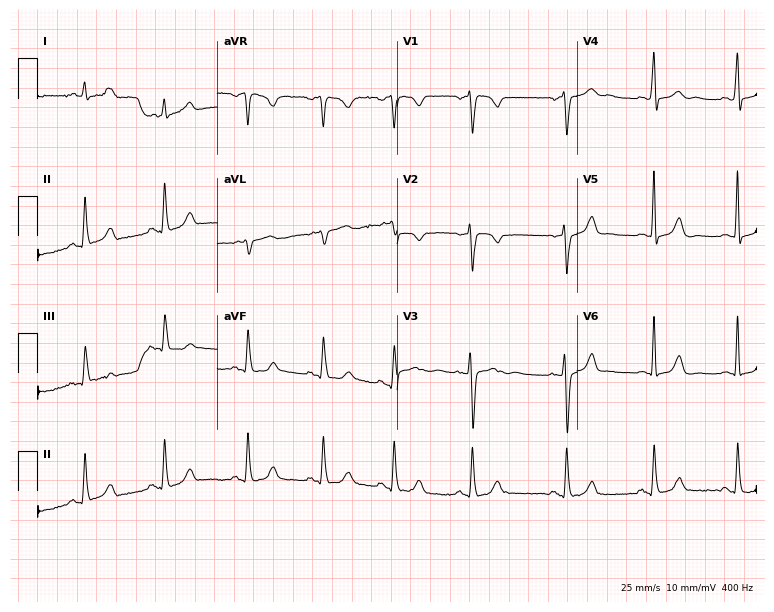
12-lead ECG from an 18-year-old female patient (7.3-second recording at 400 Hz). No first-degree AV block, right bundle branch block, left bundle branch block, sinus bradycardia, atrial fibrillation or sinus tachycardia recorded for this tracing.